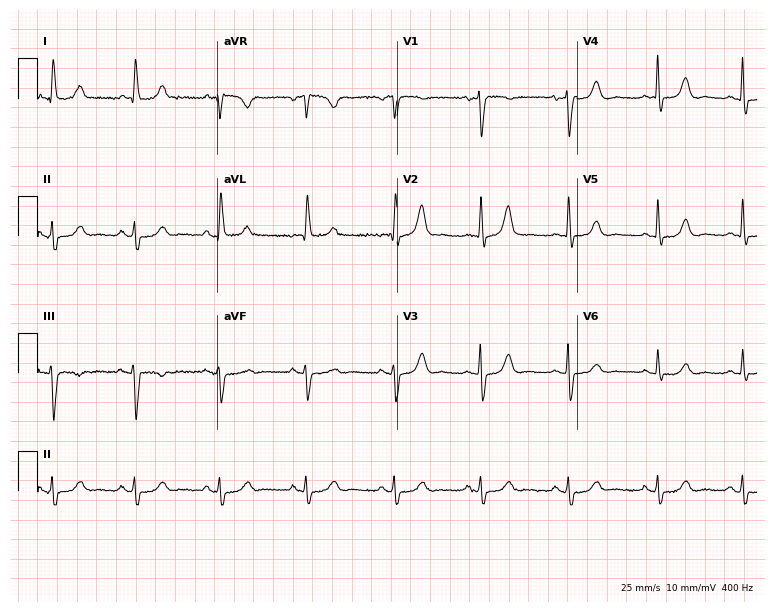
Standard 12-lead ECG recorded from an 85-year-old female. Read as a normal ECG.